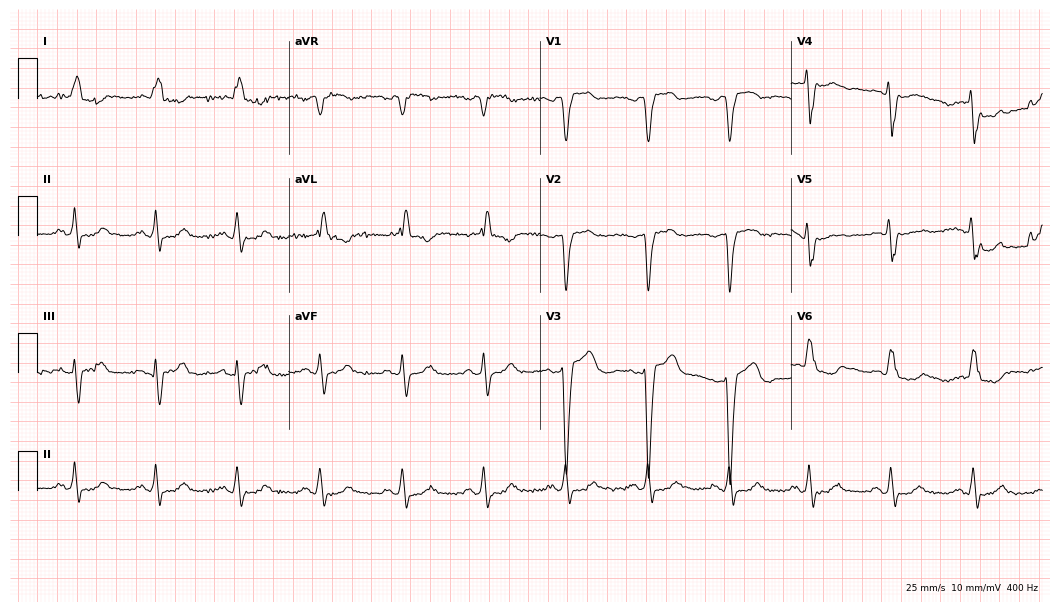
Electrocardiogram, a female, 83 years old. Interpretation includes left bundle branch block.